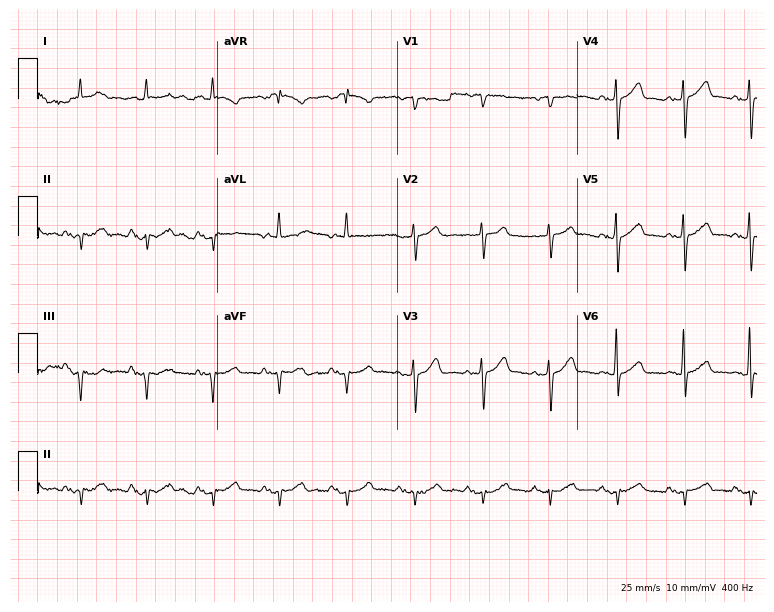
ECG (7.3-second recording at 400 Hz) — a man, 82 years old. Screened for six findings — first-degree AV block, right bundle branch block, left bundle branch block, sinus bradycardia, atrial fibrillation, sinus tachycardia — none is recorded.